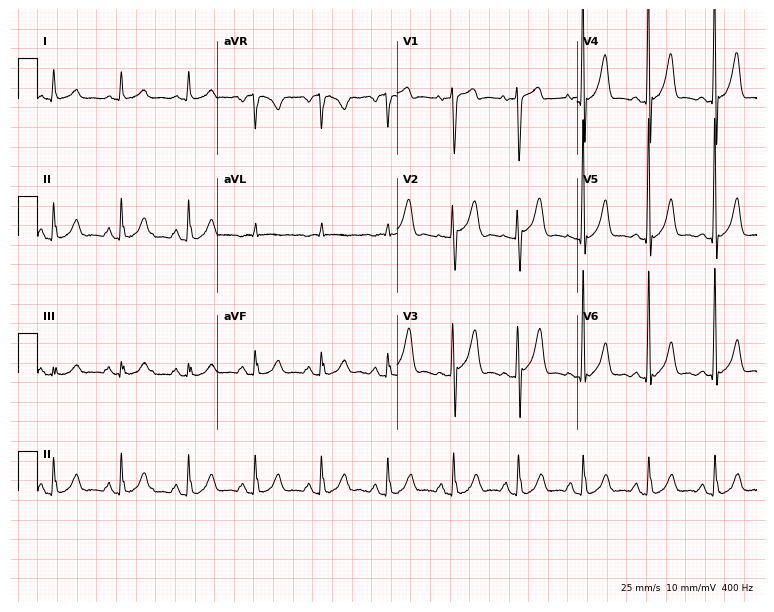
Resting 12-lead electrocardiogram (7.3-second recording at 400 Hz). Patient: a 70-year-old male. None of these six findings is recorded: first-degree AV block, right bundle branch block, left bundle branch block, sinus bradycardia, atrial fibrillation, sinus tachycardia.